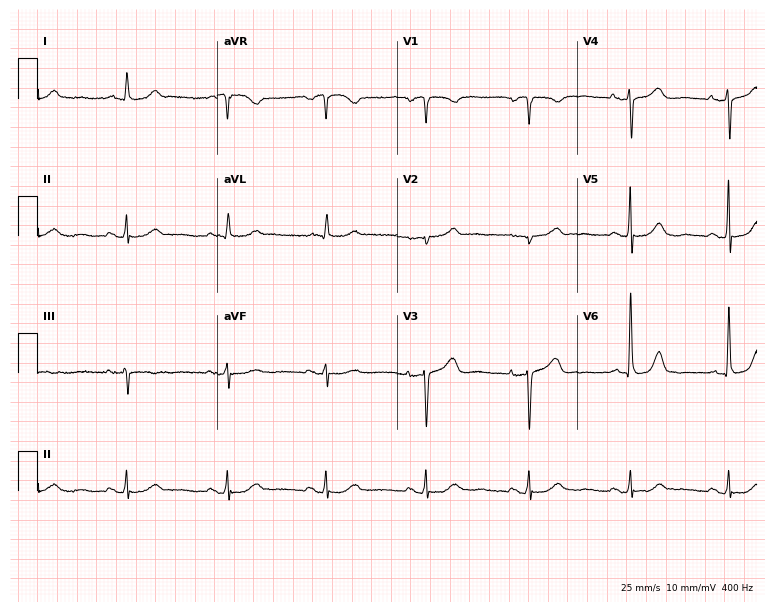
Standard 12-lead ECG recorded from an 84-year-old female (7.3-second recording at 400 Hz). None of these six findings is recorded: first-degree AV block, right bundle branch block, left bundle branch block, sinus bradycardia, atrial fibrillation, sinus tachycardia.